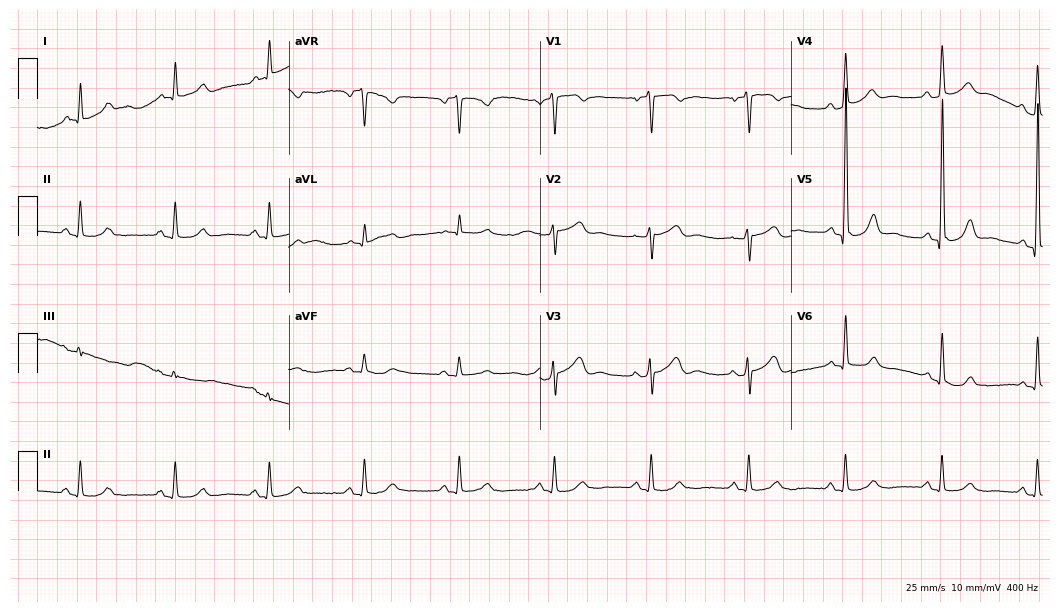
ECG — a woman, 84 years old. Labelled as a normal ECG.